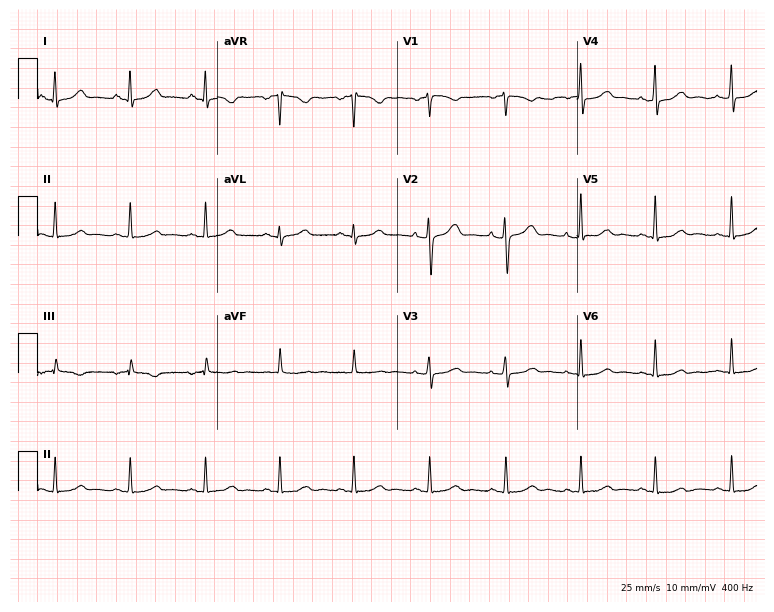
12-lead ECG (7.3-second recording at 400 Hz) from a woman, 51 years old. Screened for six findings — first-degree AV block, right bundle branch block, left bundle branch block, sinus bradycardia, atrial fibrillation, sinus tachycardia — none is recorded.